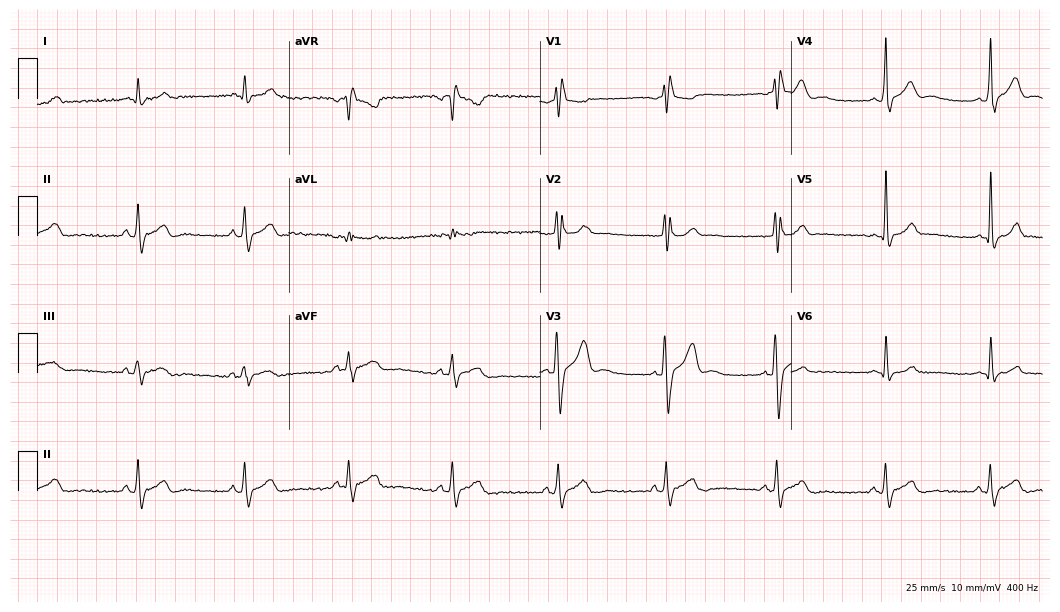
Standard 12-lead ECG recorded from a male, 24 years old. None of these six findings is recorded: first-degree AV block, right bundle branch block (RBBB), left bundle branch block (LBBB), sinus bradycardia, atrial fibrillation (AF), sinus tachycardia.